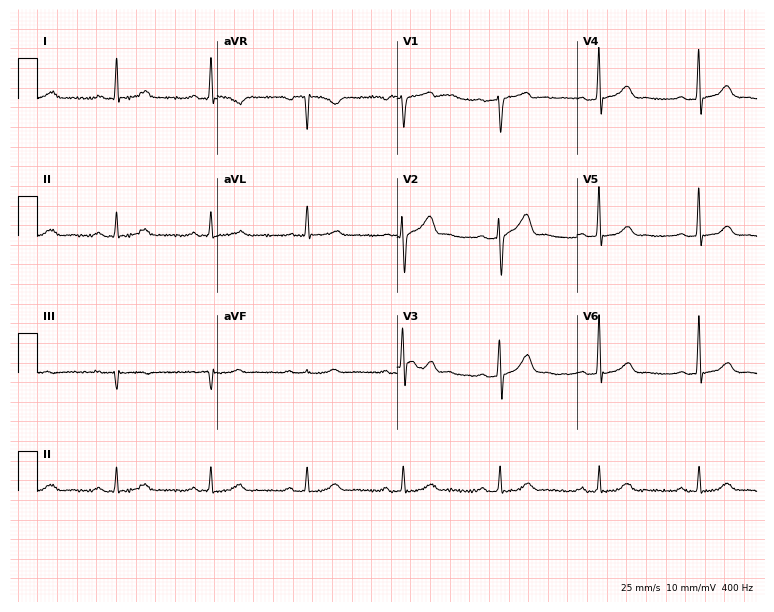
ECG (7.3-second recording at 400 Hz) — a 59-year-old man. Screened for six findings — first-degree AV block, right bundle branch block (RBBB), left bundle branch block (LBBB), sinus bradycardia, atrial fibrillation (AF), sinus tachycardia — none is recorded.